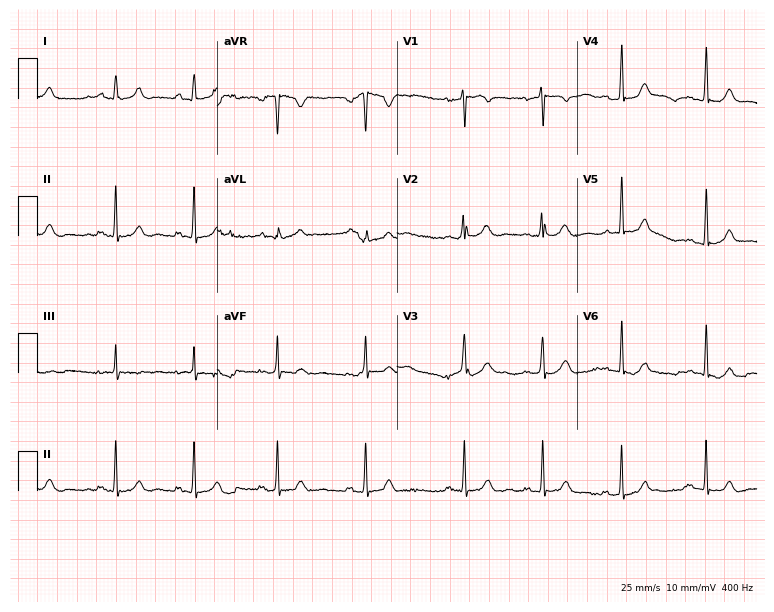
Resting 12-lead electrocardiogram. Patient: a 20-year-old woman. Read as a normal ECG.